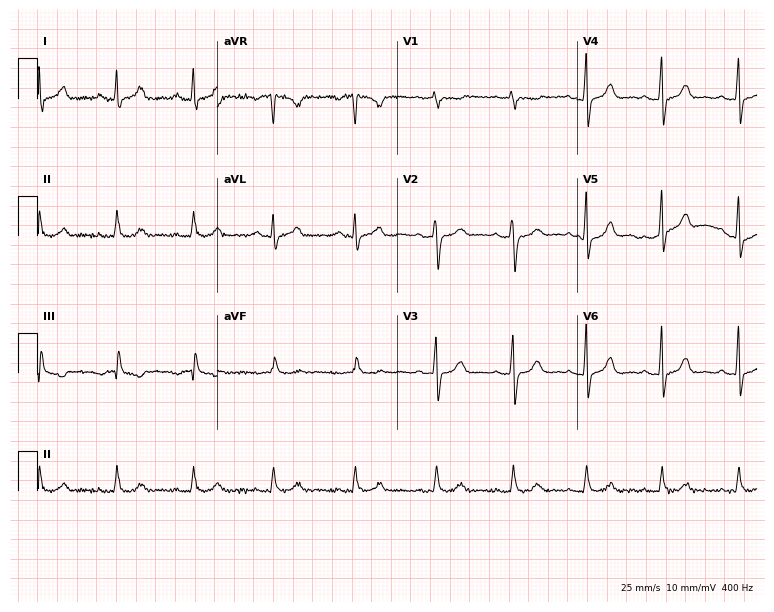
12-lead ECG (7.3-second recording at 400 Hz) from a female, 48 years old. Screened for six findings — first-degree AV block, right bundle branch block, left bundle branch block, sinus bradycardia, atrial fibrillation, sinus tachycardia — none is recorded. Other findings, if any, are not listed.